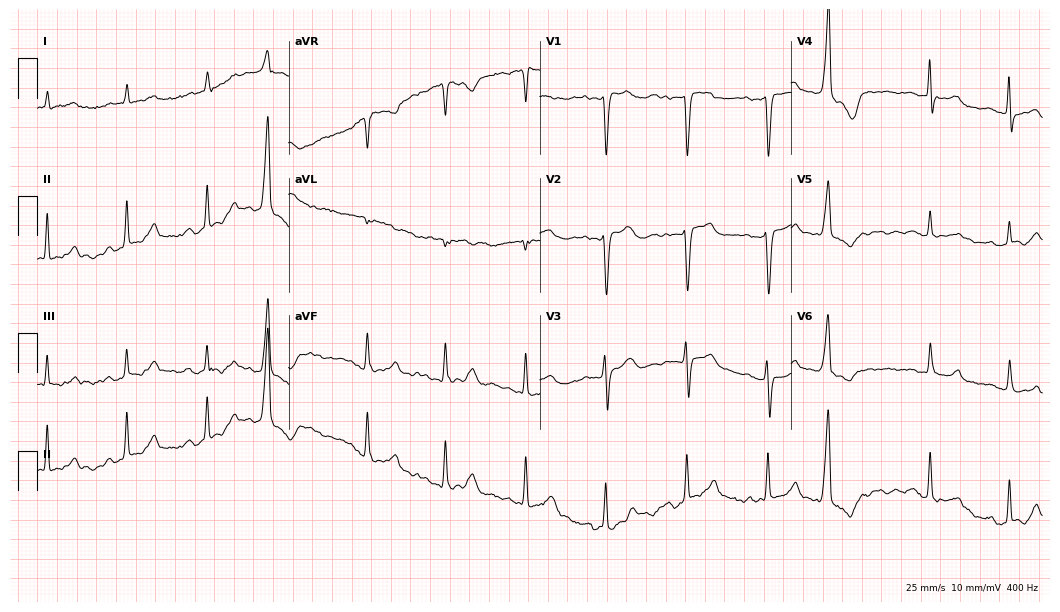
12-lead ECG from a female patient, 83 years old (10.2-second recording at 400 Hz). No first-degree AV block, right bundle branch block, left bundle branch block, sinus bradycardia, atrial fibrillation or sinus tachycardia recorded for this tracing.